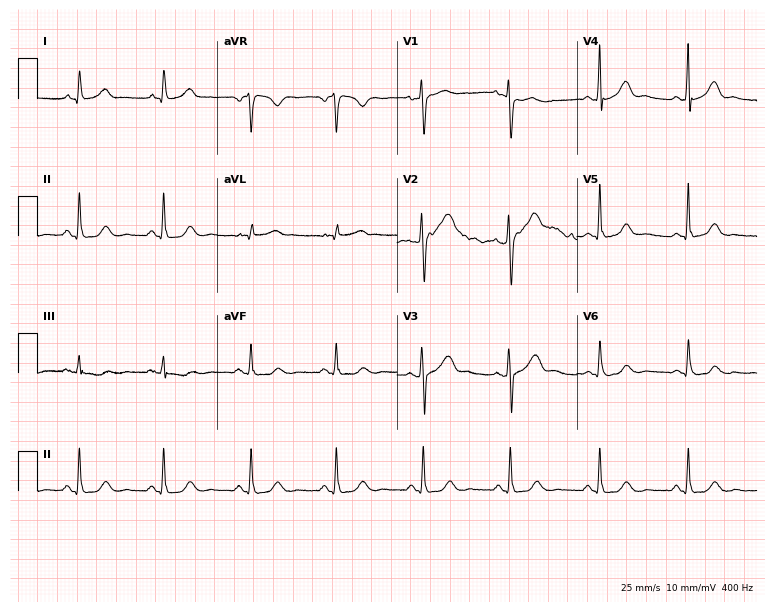
Resting 12-lead electrocardiogram (7.3-second recording at 400 Hz). Patient: a 57-year-old woman. Read as a normal ECG.